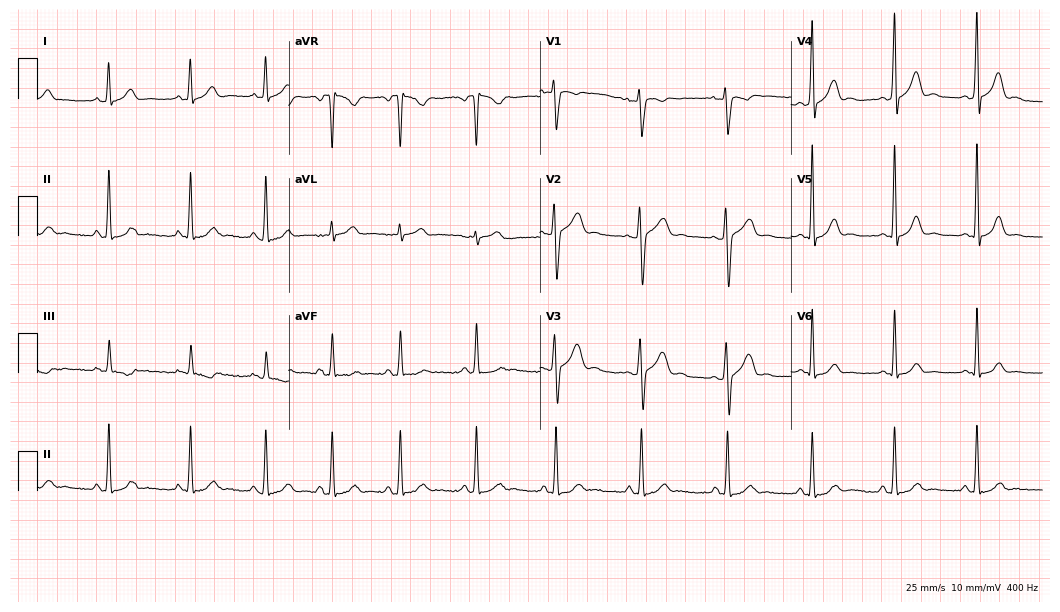
ECG (10.2-second recording at 400 Hz) — a male patient, 27 years old. Screened for six findings — first-degree AV block, right bundle branch block, left bundle branch block, sinus bradycardia, atrial fibrillation, sinus tachycardia — none is recorded. Findings outside these six are not listed.